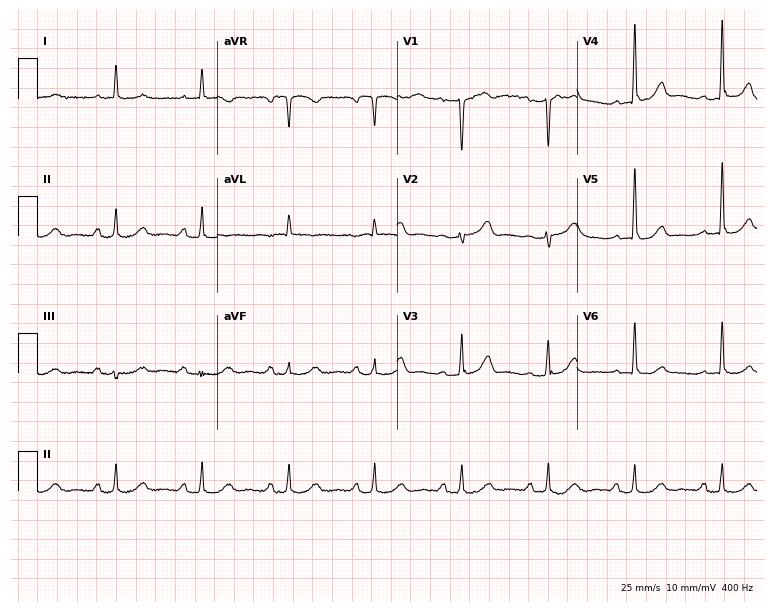
ECG (7.3-second recording at 400 Hz) — a 69-year-old woman. Findings include first-degree AV block.